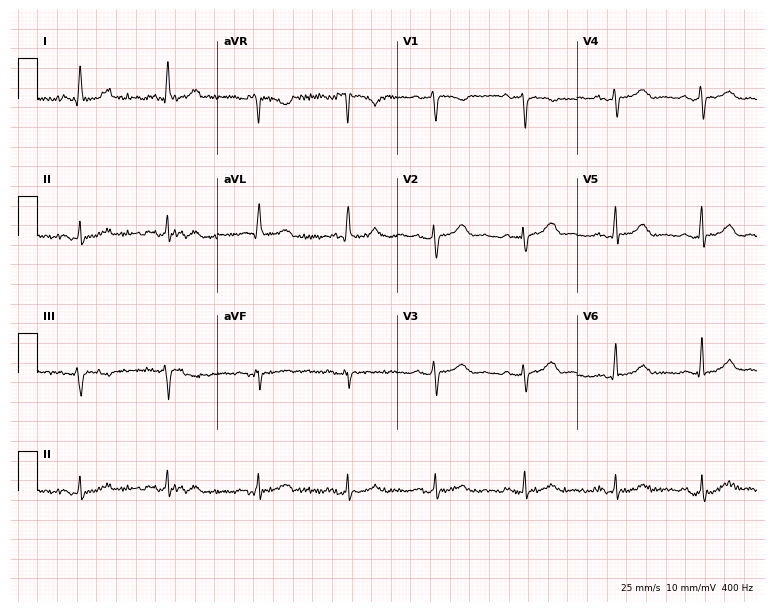
Electrocardiogram (7.3-second recording at 400 Hz), an 81-year-old female. Of the six screened findings (first-degree AV block, right bundle branch block (RBBB), left bundle branch block (LBBB), sinus bradycardia, atrial fibrillation (AF), sinus tachycardia), none is recorded.